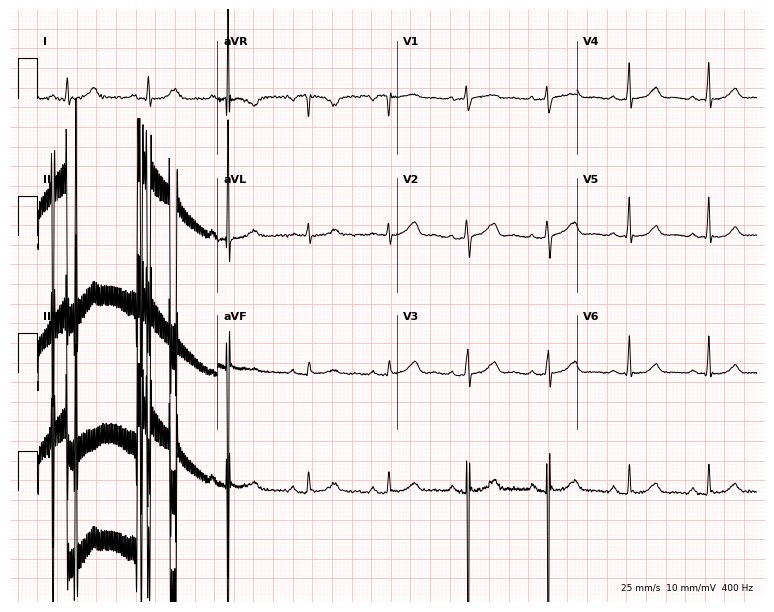
Resting 12-lead electrocardiogram. Patient: a 58-year-old female. None of these six findings is recorded: first-degree AV block, right bundle branch block (RBBB), left bundle branch block (LBBB), sinus bradycardia, atrial fibrillation (AF), sinus tachycardia.